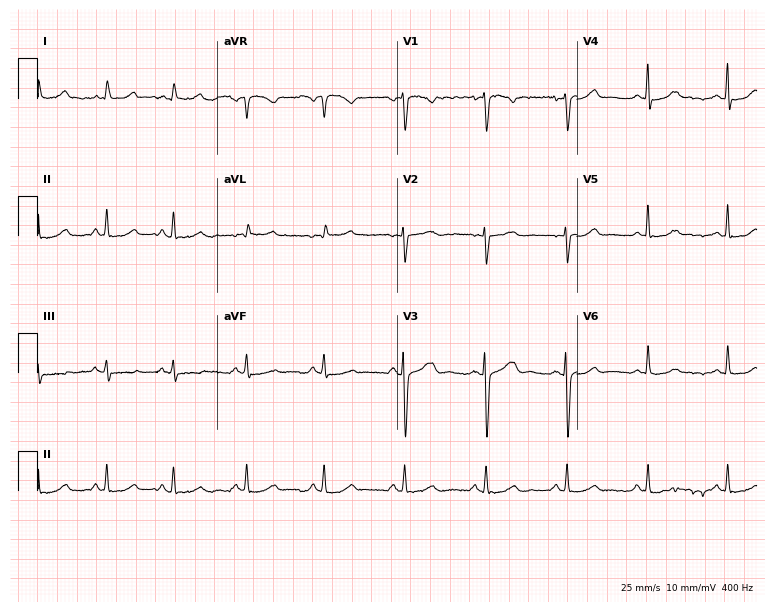
12-lead ECG from a 38-year-old female patient. Recorded interpretation: within normal limits.